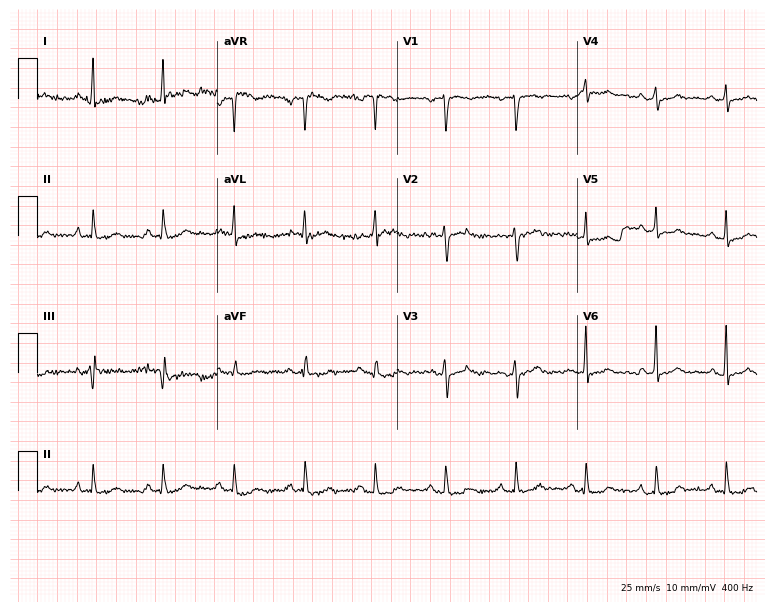
Resting 12-lead electrocardiogram (7.3-second recording at 400 Hz). Patient: a male, 75 years old. None of these six findings is recorded: first-degree AV block, right bundle branch block (RBBB), left bundle branch block (LBBB), sinus bradycardia, atrial fibrillation (AF), sinus tachycardia. Only these six findings were labelled.